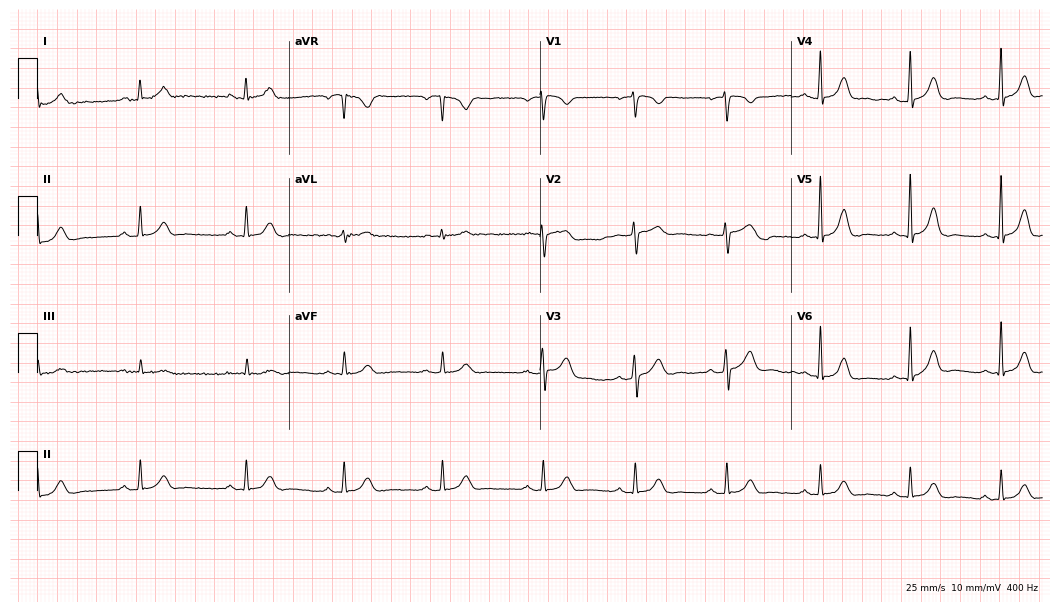
Standard 12-lead ECG recorded from a 33-year-old female (10.2-second recording at 400 Hz). Read as a normal ECG.